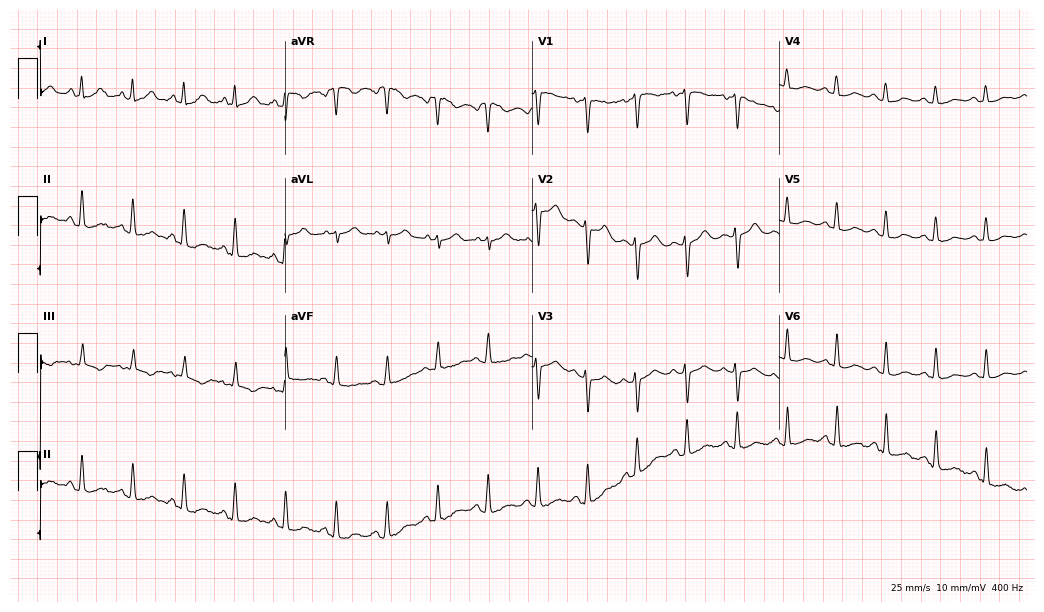
ECG (10.1-second recording at 400 Hz) — a female, 28 years old. Findings include sinus tachycardia (a sinus rate of 100 beats per minute or more).